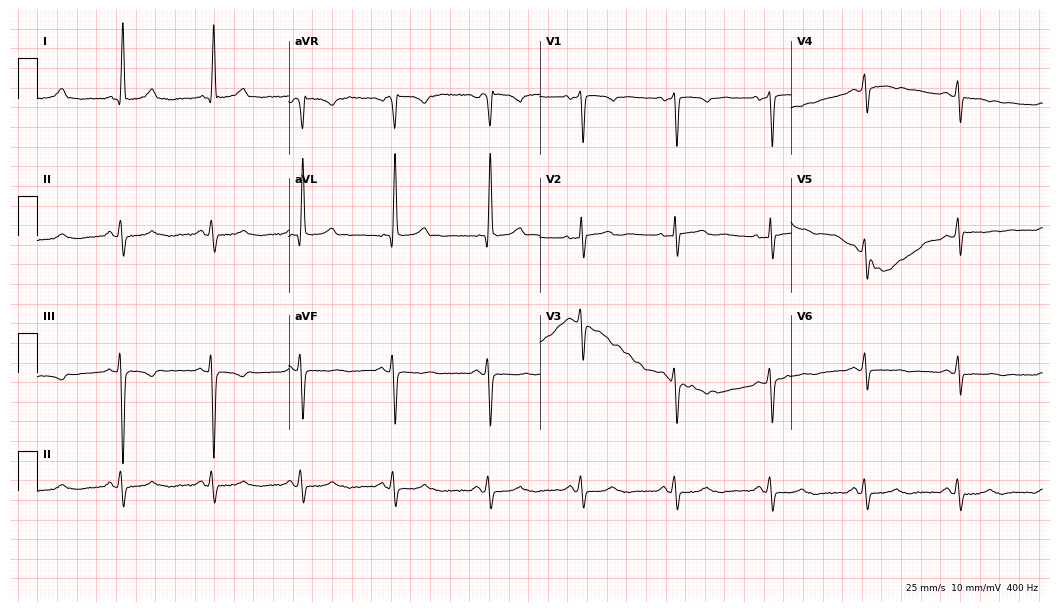
12-lead ECG from a woman, 64 years old. No first-degree AV block, right bundle branch block, left bundle branch block, sinus bradycardia, atrial fibrillation or sinus tachycardia recorded for this tracing.